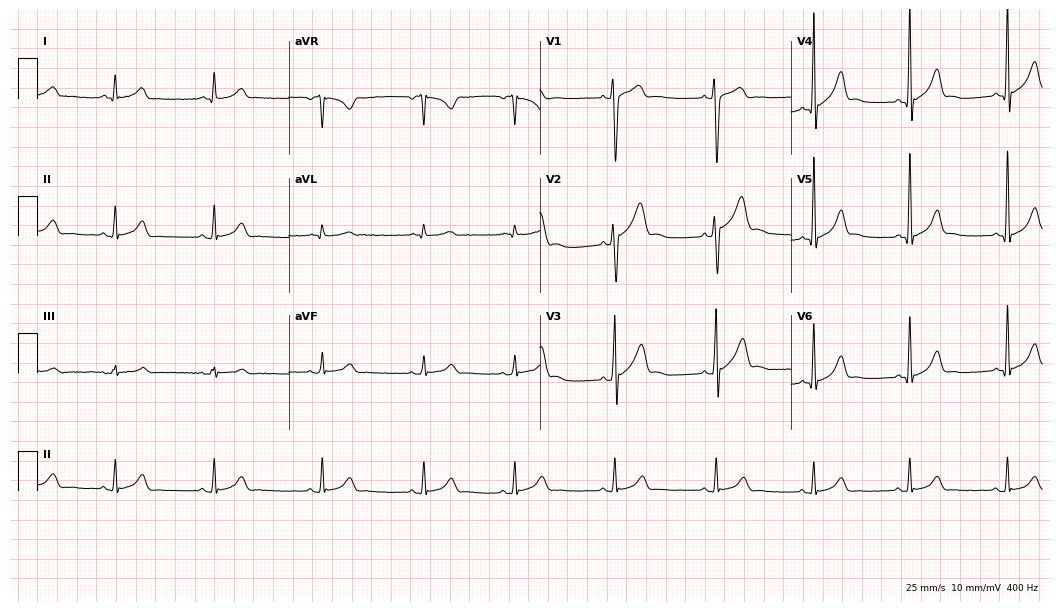
Electrocardiogram (10.2-second recording at 400 Hz), a male patient, 20 years old. Of the six screened findings (first-degree AV block, right bundle branch block, left bundle branch block, sinus bradycardia, atrial fibrillation, sinus tachycardia), none is recorded.